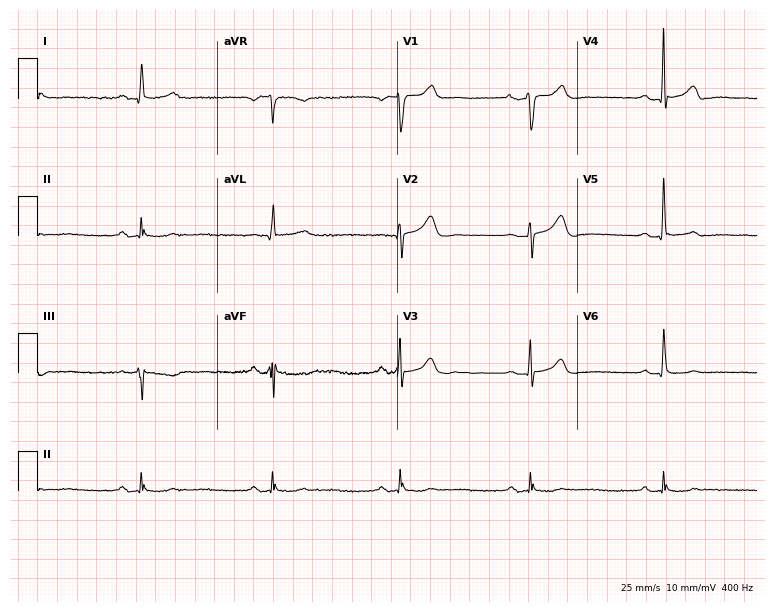
ECG (7.3-second recording at 400 Hz) — a 71-year-old man. Findings include sinus bradycardia (a sinus rate of 50 beats per minute or less).